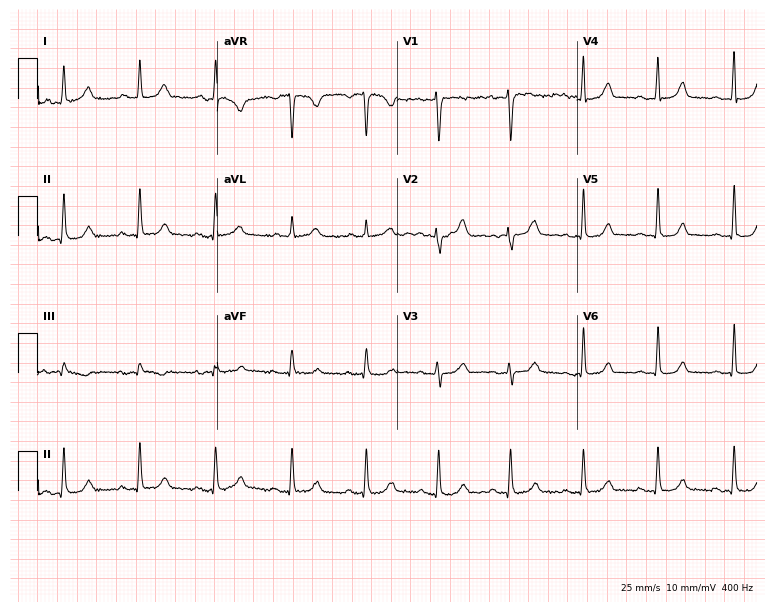
Electrocardiogram (7.3-second recording at 400 Hz), a 38-year-old female. Of the six screened findings (first-degree AV block, right bundle branch block, left bundle branch block, sinus bradycardia, atrial fibrillation, sinus tachycardia), none is recorded.